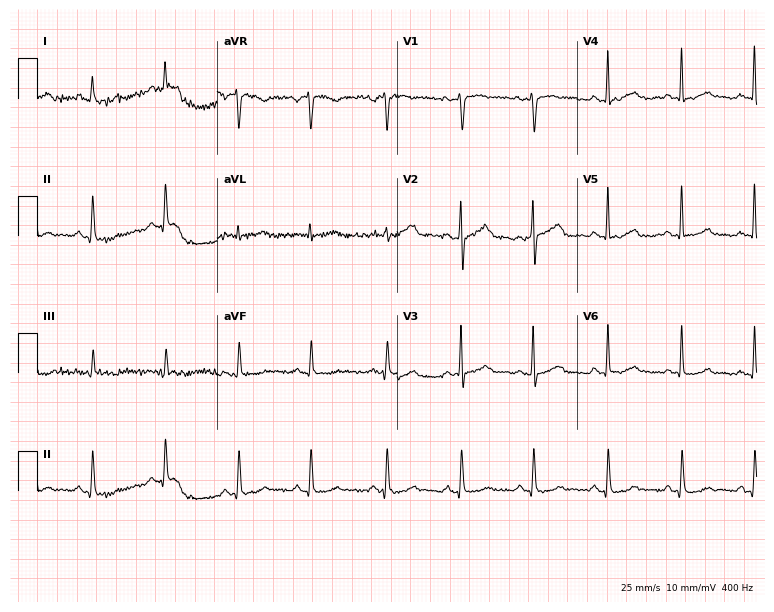
ECG (7.3-second recording at 400 Hz) — a 33-year-old female patient. Labelled as a normal ECG.